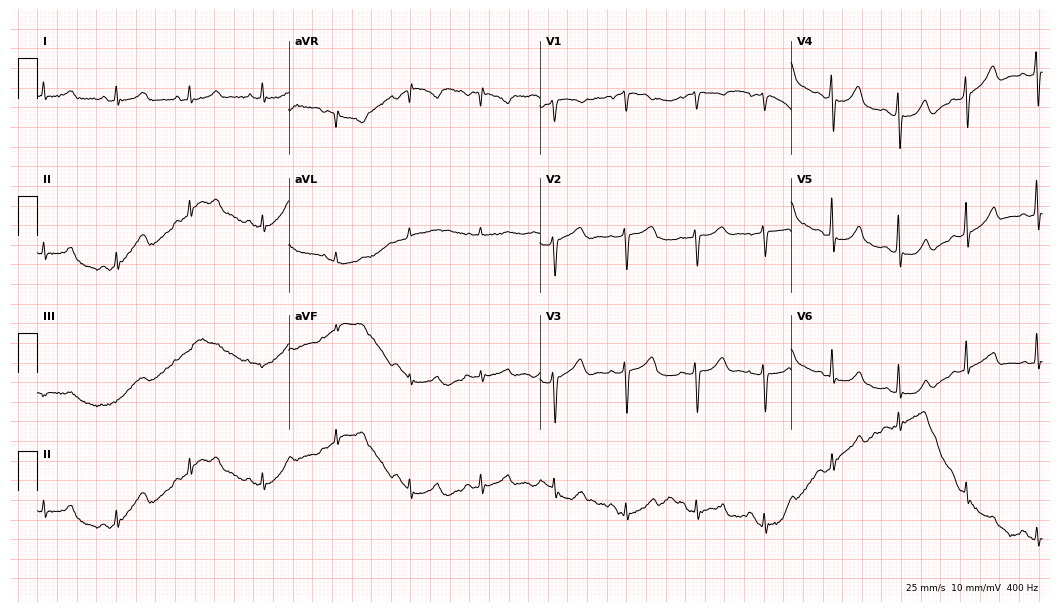
12-lead ECG (10.2-second recording at 400 Hz) from a 48-year-old female. Screened for six findings — first-degree AV block, right bundle branch block (RBBB), left bundle branch block (LBBB), sinus bradycardia, atrial fibrillation (AF), sinus tachycardia — none is recorded. Only these six findings were labelled.